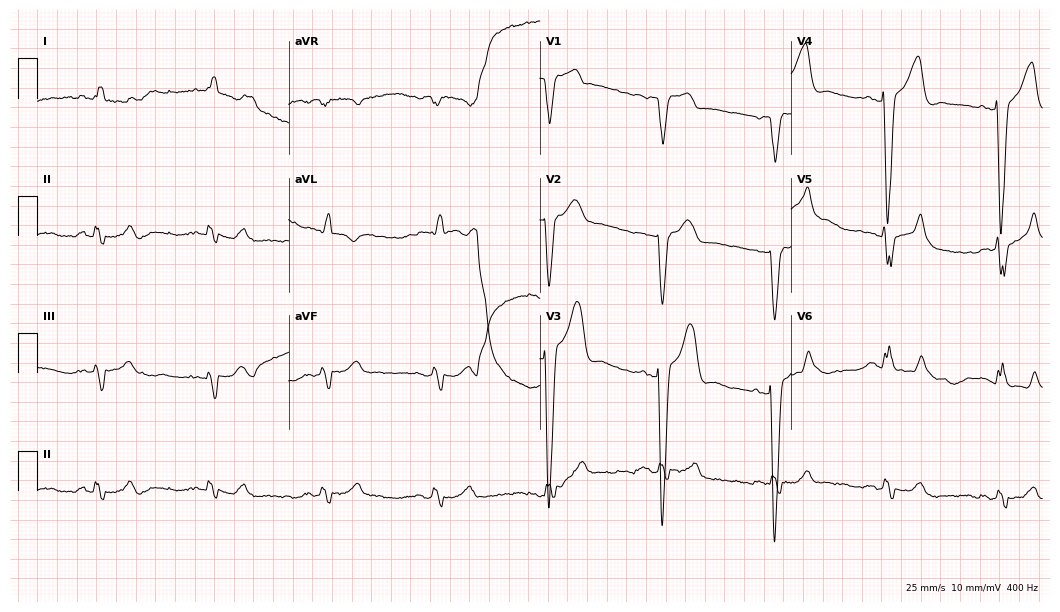
Electrocardiogram (10.2-second recording at 400 Hz), a male patient, 81 years old. Interpretation includes left bundle branch block (LBBB).